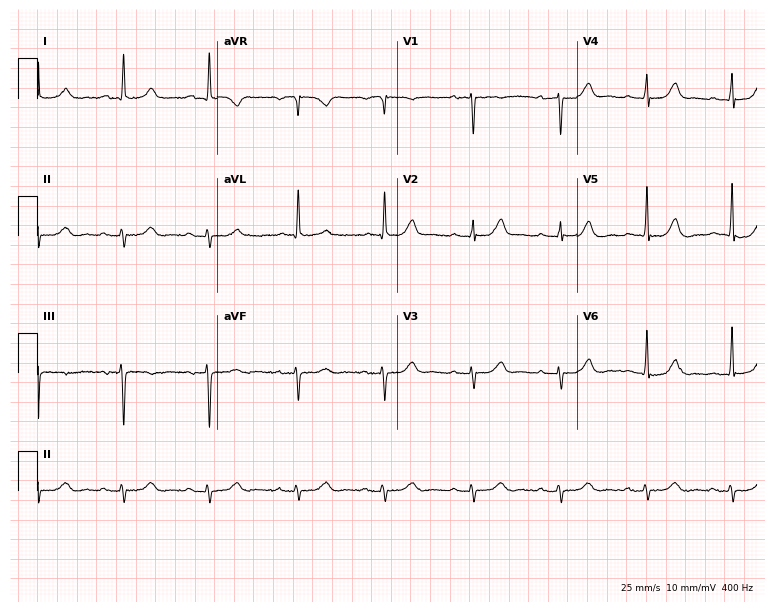
Resting 12-lead electrocardiogram. Patient: an 85-year-old woman. None of these six findings is recorded: first-degree AV block, right bundle branch block, left bundle branch block, sinus bradycardia, atrial fibrillation, sinus tachycardia. Only these six findings were labelled.